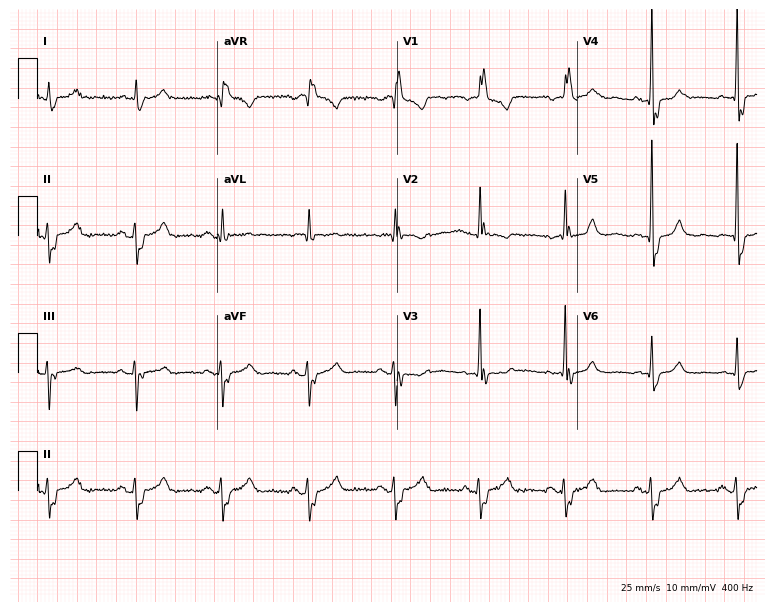
Electrocardiogram, a 78-year-old man. Interpretation includes right bundle branch block.